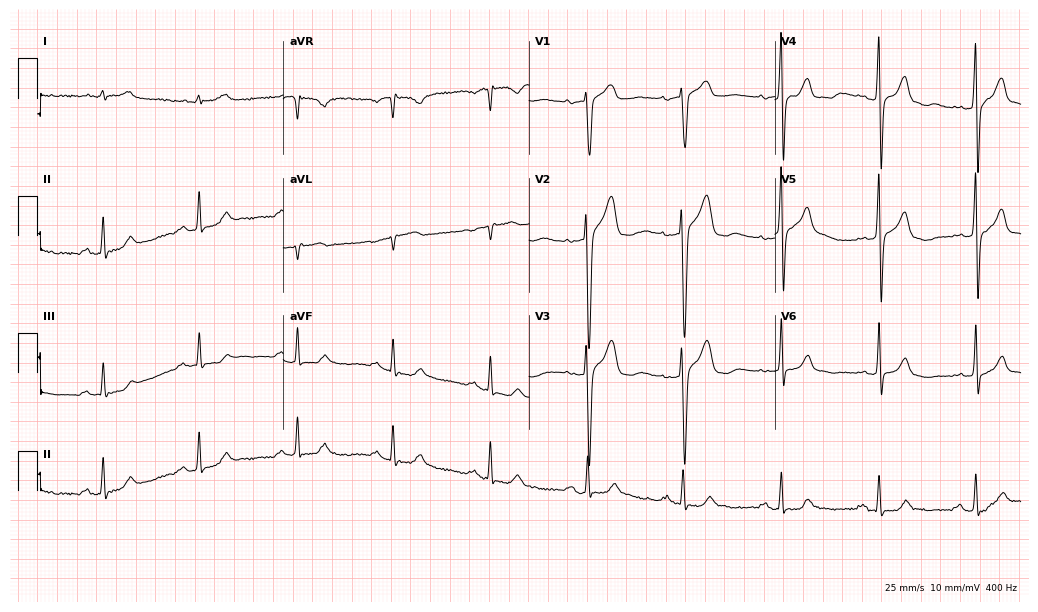
Resting 12-lead electrocardiogram. Patient: a male, 58 years old. Read as a normal ECG.